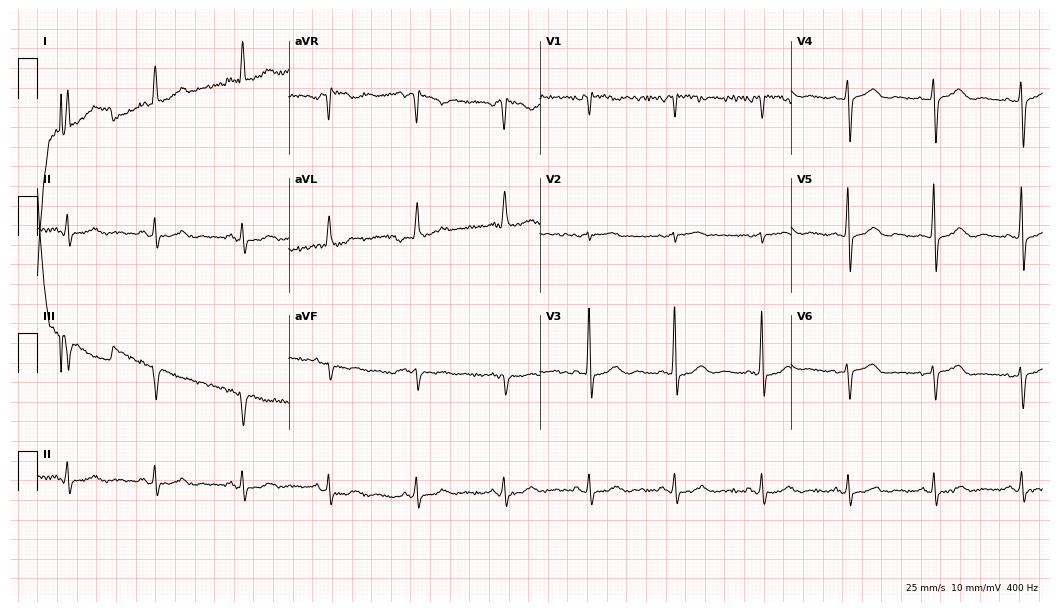
Resting 12-lead electrocardiogram (10.2-second recording at 400 Hz). Patient: a 75-year-old female. None of these six findings is recorded: first-degree AV block, right bundle branch block (RBBB), left bundle branch block (LBBB), sinus bradycardia, atrial fibrillation (AF), sinus tachycardia. Only these six findings were labelled.